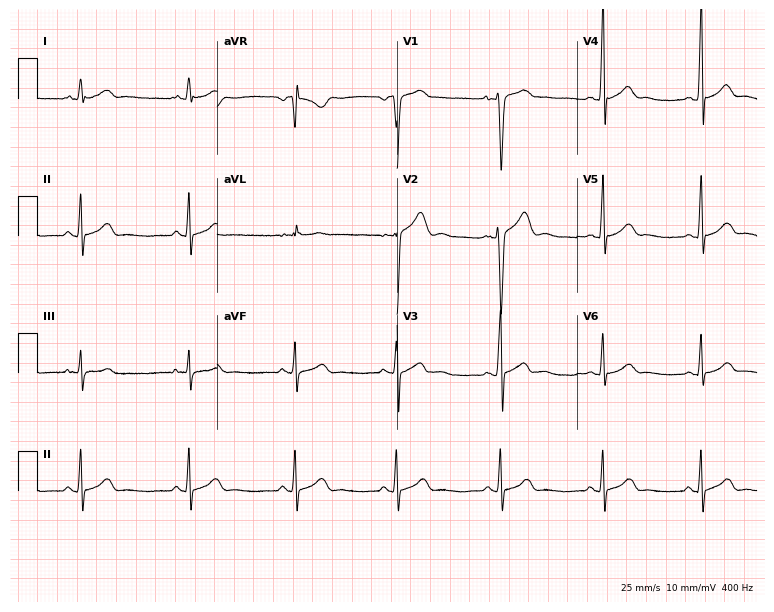
Resting 12-lead electrocardiogram (7.3-second recording at 400 Hz). Patient: a male, 17 years old. Read as a normal ECG.